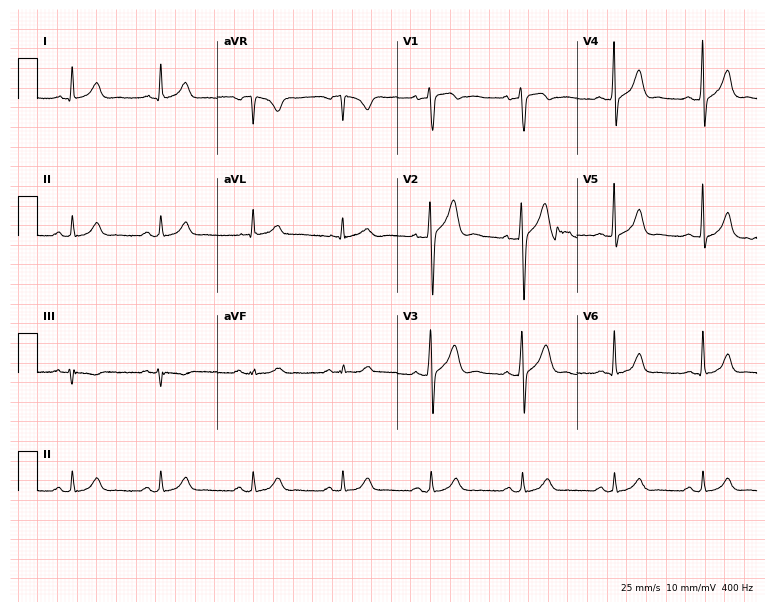
Standard 12-lead ECG recorded from a man, 43 years old (7.3-second recording at 400 Hz). None of these six findings is recorded: first-degree AV block, right bundle branch block, left bundle branch block, sinus bradycardia, atrial fibrillation, sinus tachycardia. Only these six findings were labelled.